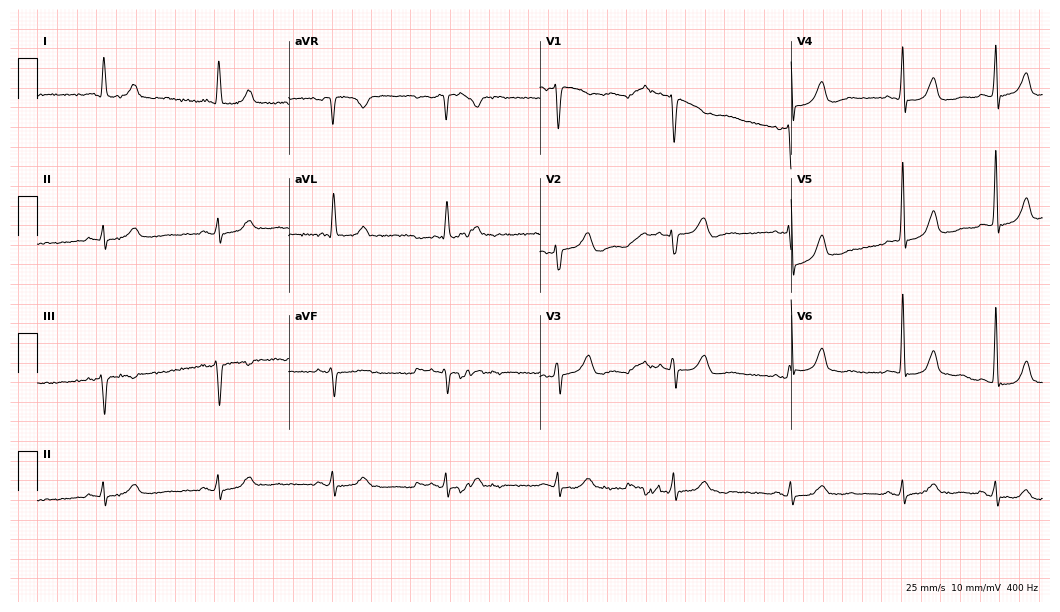
12-lead ECG from a 79-year-old woman (10.2-second recording at 400 Hz). Shows sinus bradycardia (a sinus rate of 50 beats per minute or less).